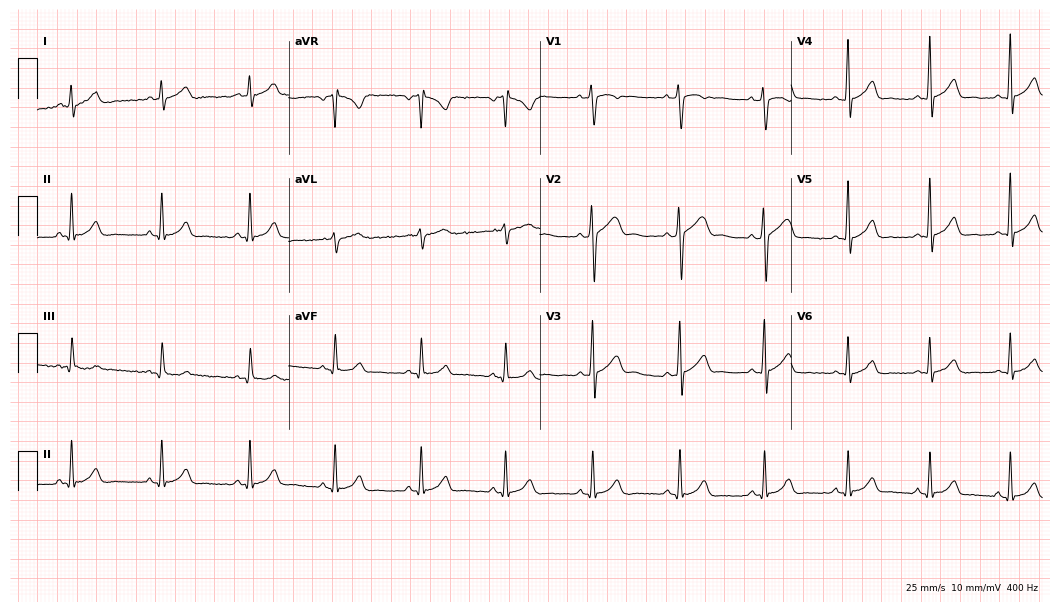
Resting 12-lead electrocardiogram (10.2-second recording at 400 Hz). Patient: a male, 24 years old. Read as a normal ECG.